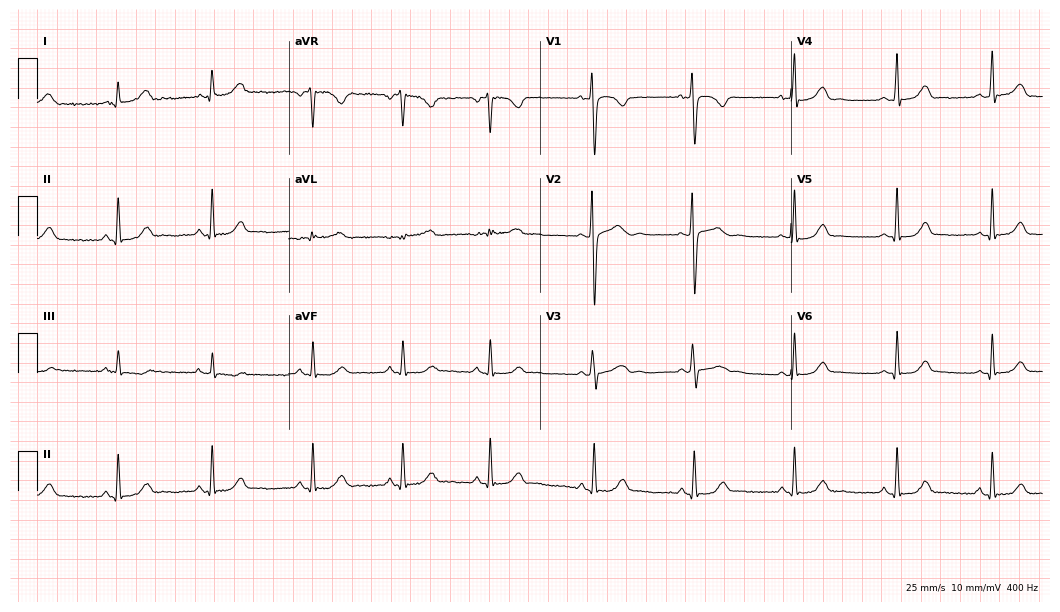
ECG — a 21-year-old female. Labelled as a normal ECG.